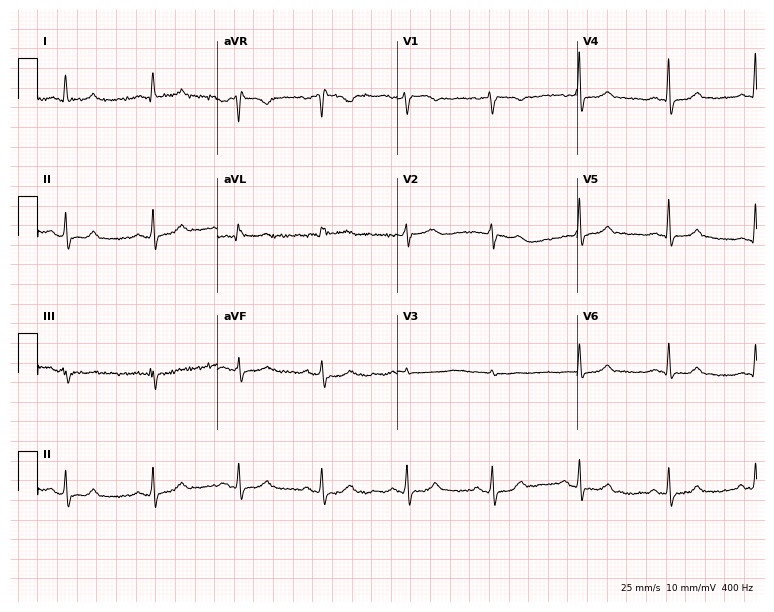
12-lead ECG from a 49-year-old female. Recorded interpretation: within normal limits.